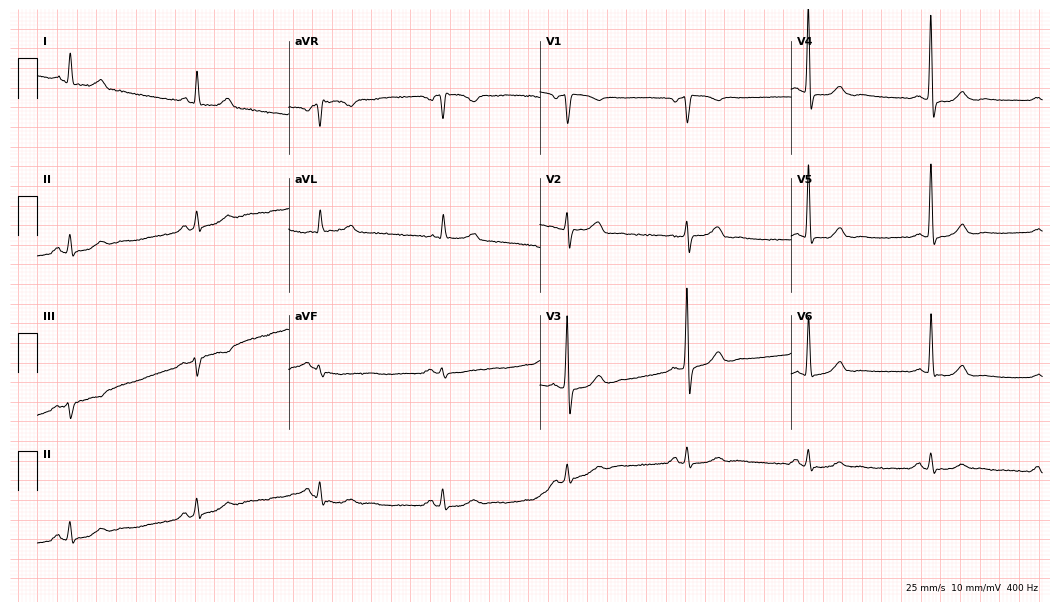
12-lead ECG from a woman, 65 years old (10.2-second recording at 400 Hz). No first-degree AV block, right bundle branch block, left bundle branch block, sinus bradycardia, atrial fibrillation or sinus tachycardia recorded for this tracing. Other findings, if any, are not listed.